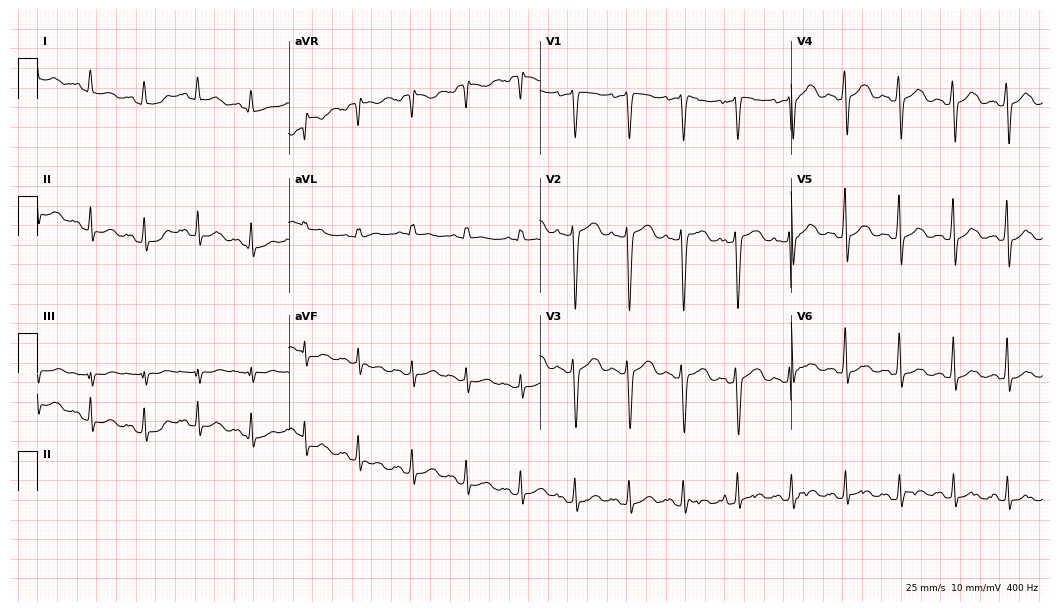
ECG (10.2-second recording at 400 Hz) — a male patient, 47 years old. Findings include sinus tachycardia (a sinus rate of 100 beats per minute or more).